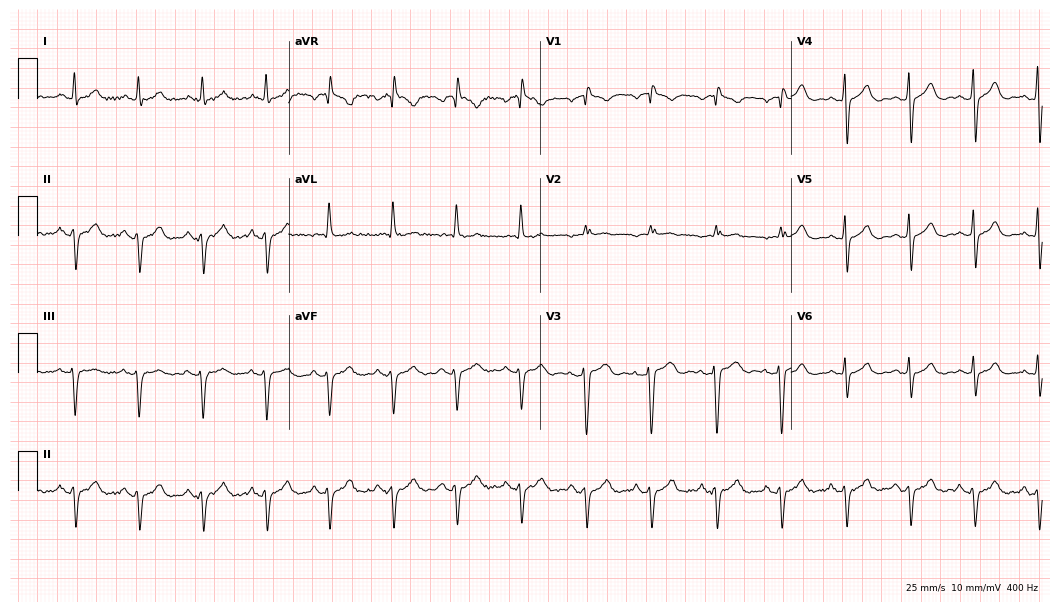
Resting 12-lead electrocardiogram (10.2-second recording at 400 Hz). Patient: a 60-year-old male. None of these six findings is recorded: first-degree AV block, right bundle branch block (RBBB), left bundle branch block (LBBB), sinus bradycardia, atrial fibrillation (AF), sinus tachycardia.